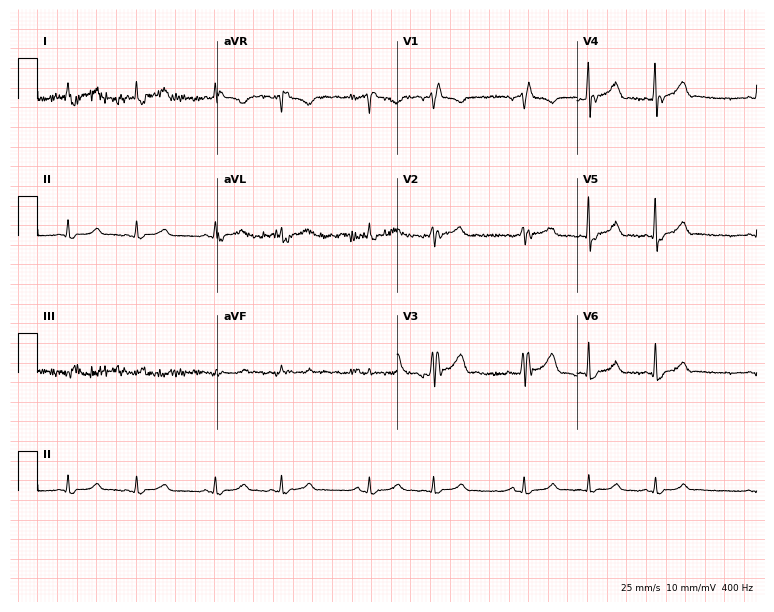
ECG — a male patient, 83 years old. Screened for six findings — first-degree AV block, right bundle branch block (RBBB), left bundle branch block (LBBB), sinus bradycardia, atrial fibrillation (AF), sinus tachycardia — none is recorded. Findings outside these six are not listed.